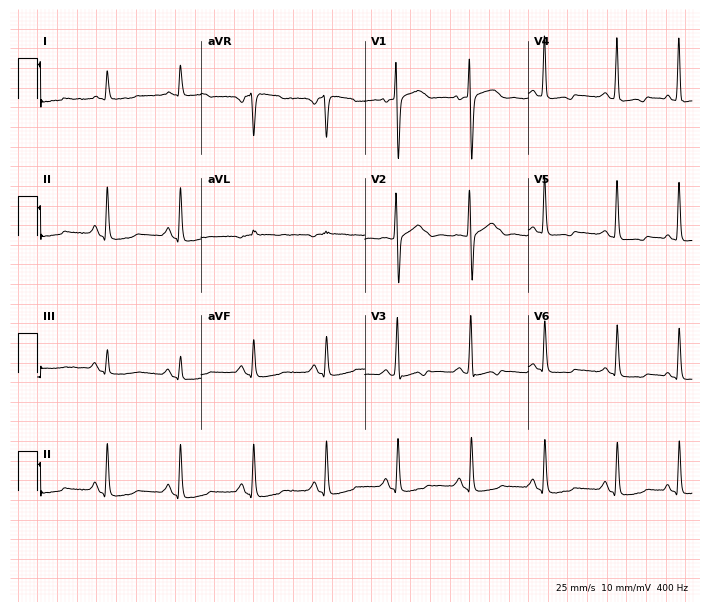
12-lead ECG from an 81-year-old female patient. No first-degree AV block, right bundle branch block, left bundle branch block, sinus bradycardia, atrial fibrillation or sinus tachycardia recorded for this tracing. Findings outside these six are not listed.